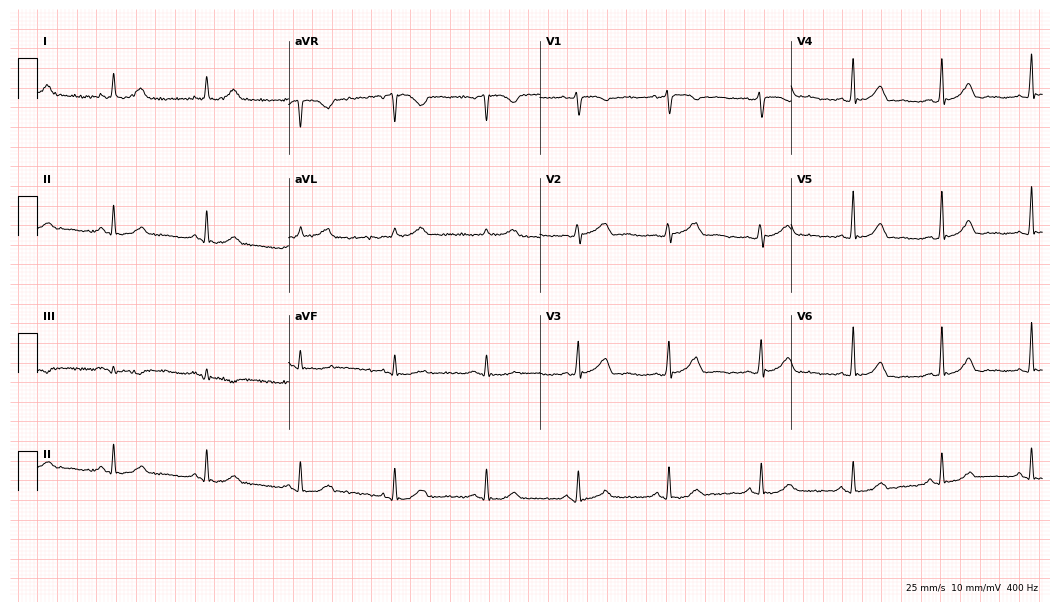
Electrocardiogram, a 53-year-old woman. Overall reading on record: normal ECG.